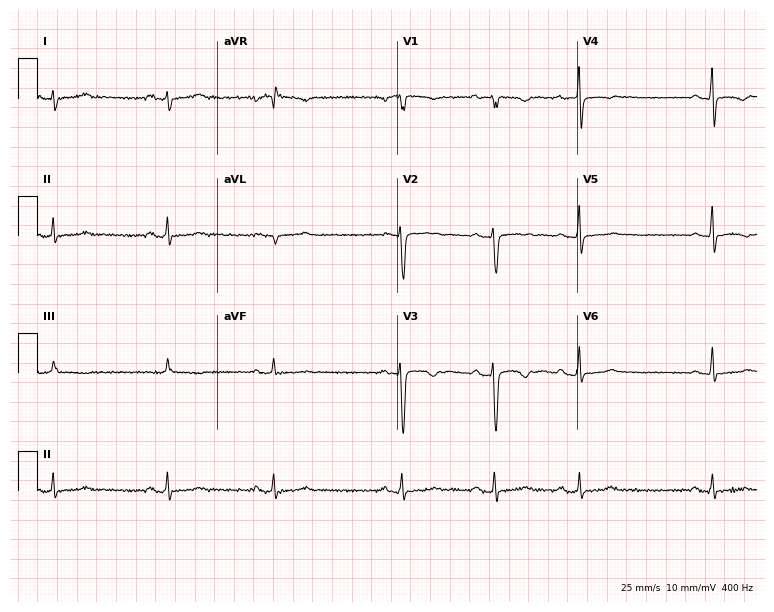
12-lead ECG (7.3-second recording at 400 Hz) from a 19-year-old woman. Screened for six findings — first-degree AV block, right bundle branch block (RBBB), left bundle branch block (LBBB), sinus bradycardia, atrial fibrillation (AF), sinus tachycardia — none is recorded.